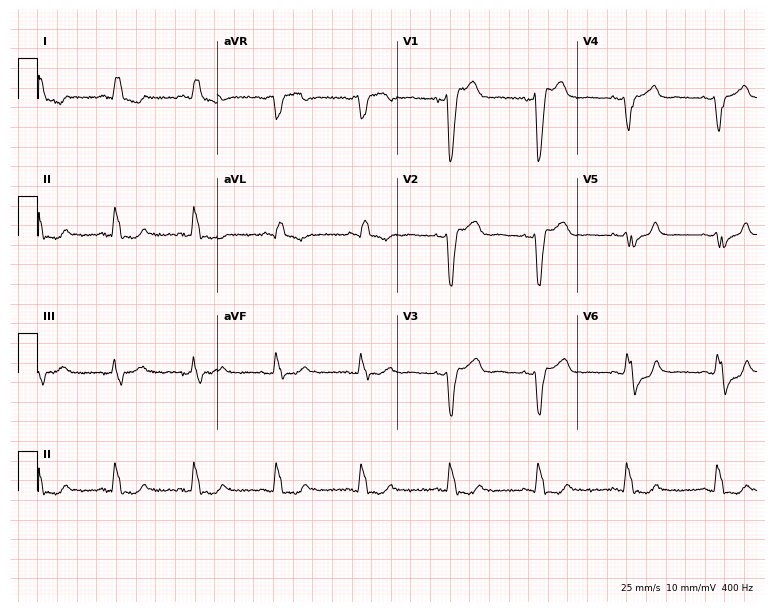
ECG — a 71-year-old man. Findings include left bundle branch block (LBBB).